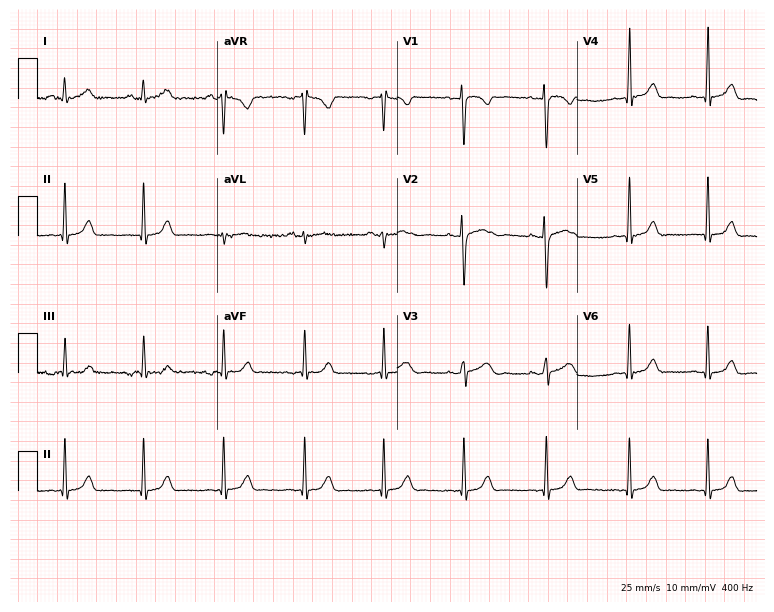
Electrocardiogram (7.3-second recording at 400 Hz), a 32-year-old female patient. Overall reading on record: normal ECG.